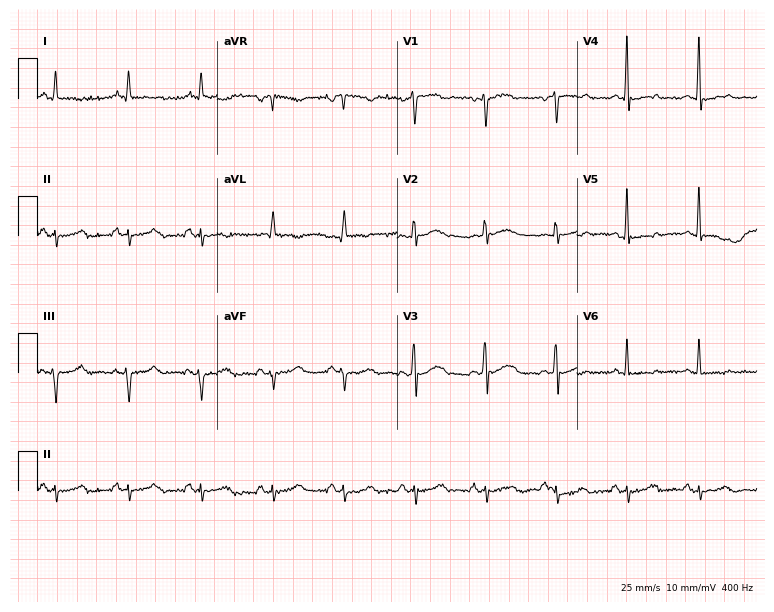
12-lead ECG from a 63-year-old man. Screened for six findings — first-degree AV block, right bundle branch block (RBBB), left bundle branch block (LBBB), sinus bradycardia, atrial fibrillation (AF), sinus tachycardia — none is recorded.